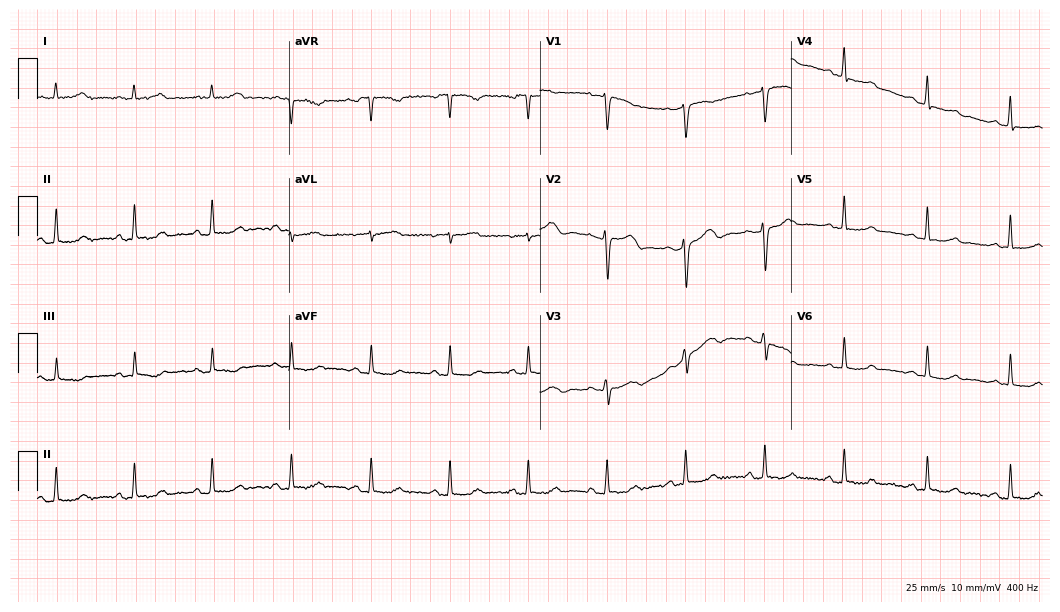
Electrocardiogram (10.2-second recording at 400 Hz), a woman, 53 years old. Overall reading on record: normal ECG.